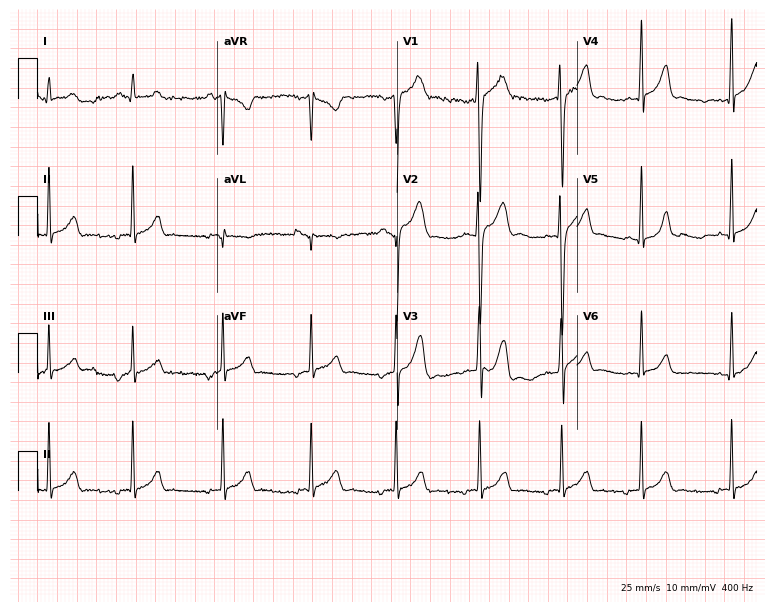
ECG — a man, 17 years old. Screened for six findings — first-degree AV block, right bundle branch block, left bundle branch block, sinus bradycardia, atrial fibrillation, sinus tachycardia — none is recorded.